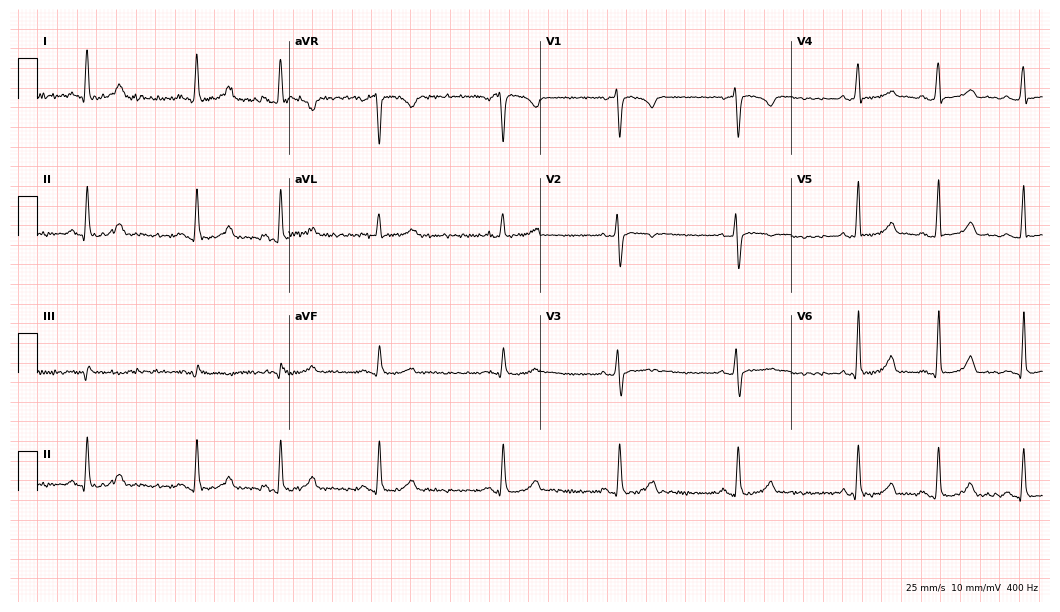
ECG — a 25-year-old female. Screened for six findings — first-degree AV block, right bundle branch block (RBBB), left bundle branch block (LBBB), sinus bradycardia, atrial fibrillation (AF), sinus tachycardia — none is recorded. Findings outside these six are not listed.